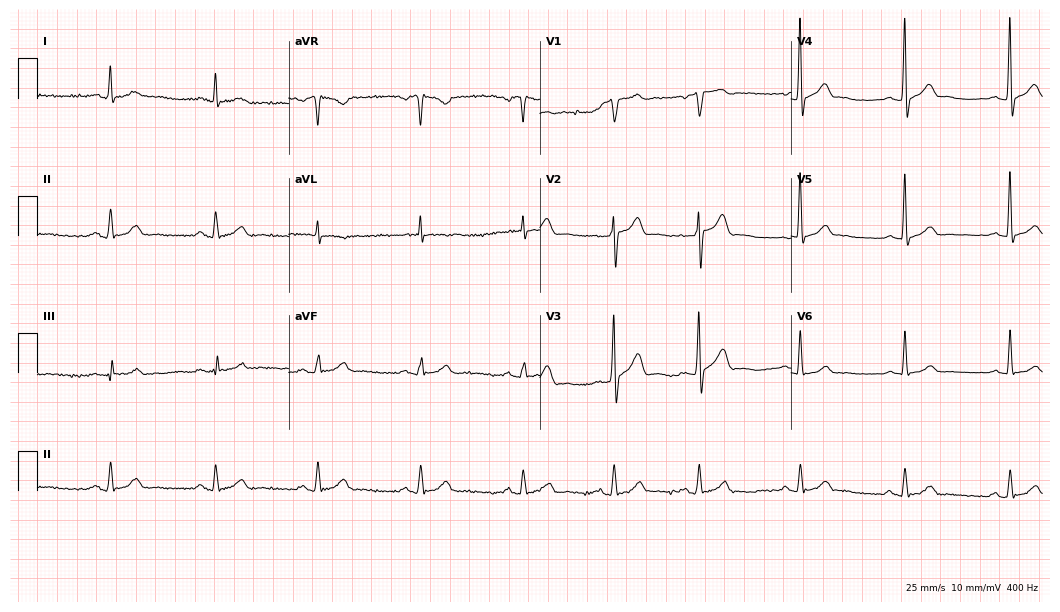
12-lead ECG from a 42-year-old man. Recorded interpretation: within normal limits.